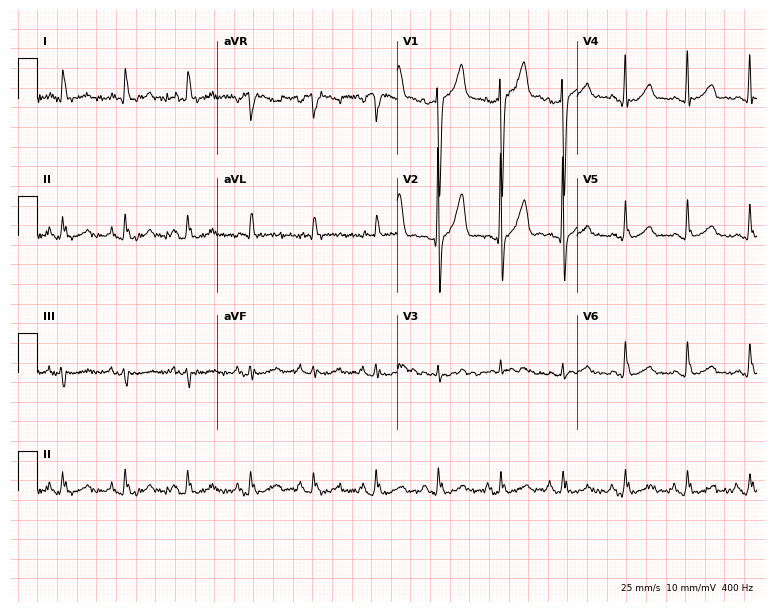
Resting 12-lead electrocardiogram. Patient: a male, 68 years old. Read as a normal ECG.